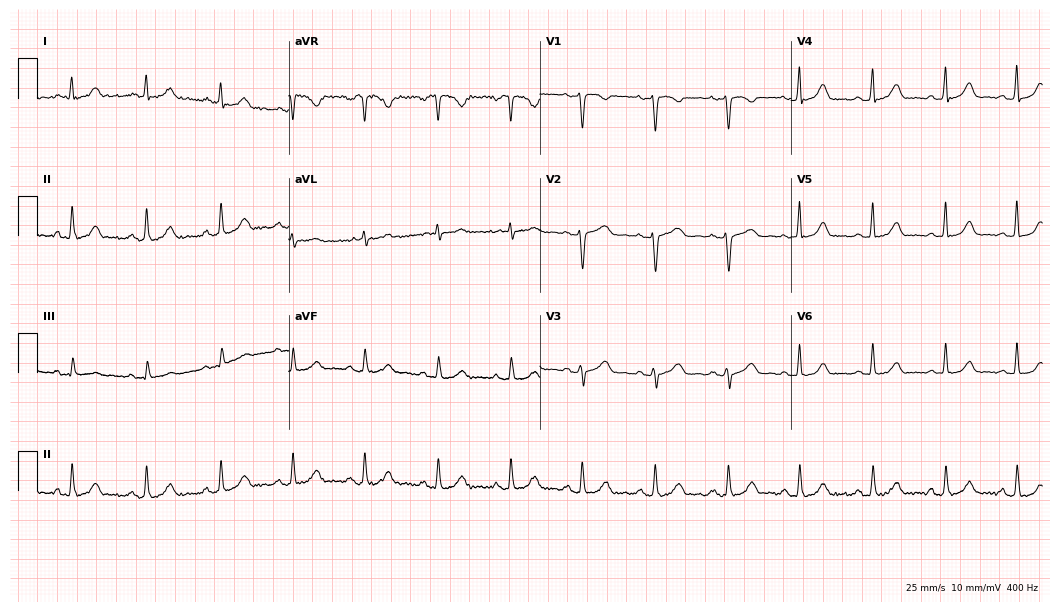
12-lead ECG from a woman, 40 years old (10.2-second recording at 400 Hz). Recorded interpretation: within normal limits.